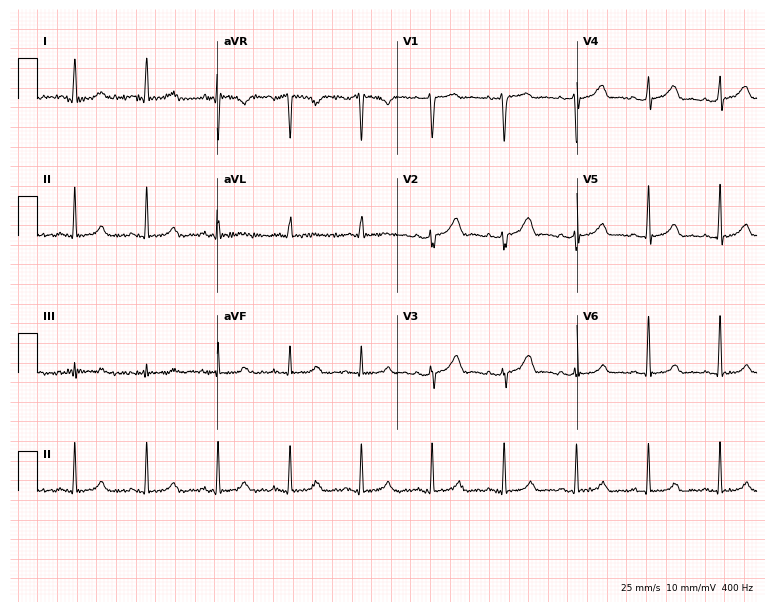
Standard 12-lead ECG recorded from a female, 42 years old (7.3-second recording at 400 Hz). None of these six findings is recorded: first-degree AV block, right bundle branch block (RBBB), left bundle branch block (LBBB), sinus bradycardia, atrial fibrillation (AF), sinus tachycardia. Only these six findings were labelled.